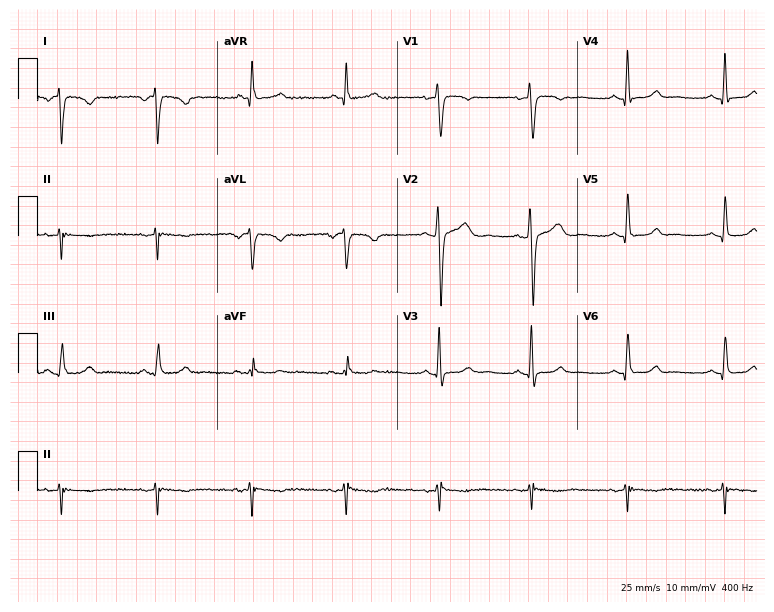
Standard 12-lead ECG recorded from a woman, 57 years old. None of these six findings is recorded: first-degree AV block, right bundle branch block, left bundle branch block, sinus bradycardia, atrial fibrillation, sinus tachycardia.